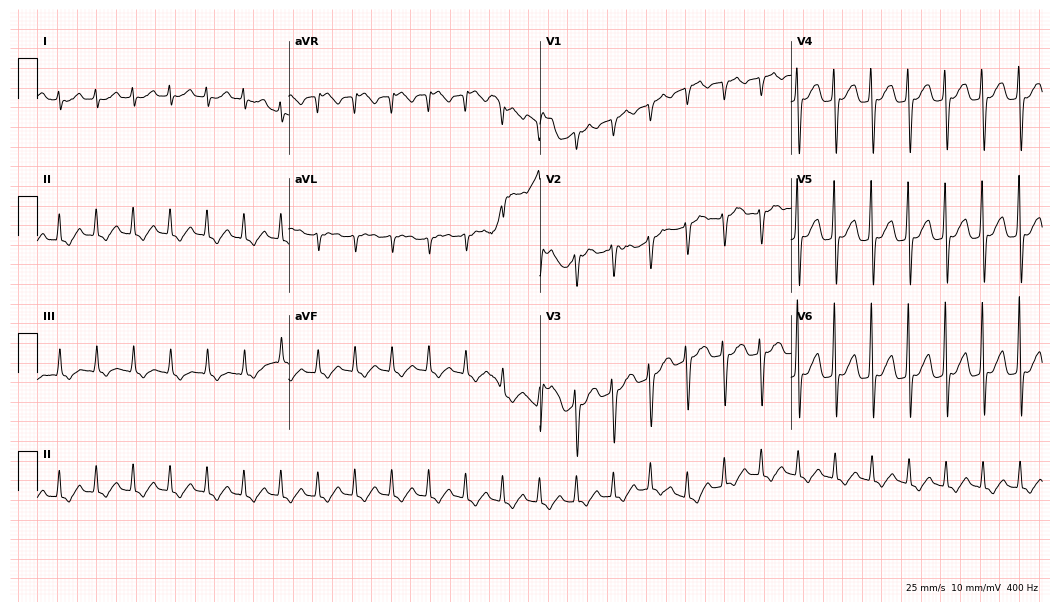
Resting 12-lead electrocardiogram (10.2-second recording at 400 Hz). Patient: a female, 50 years old. None of these six findings is recorded: first-degree AV block, right bundle branch block, left bundle branch block, sinus bradycardia, atrial fibrillation, sinus tachycardia.